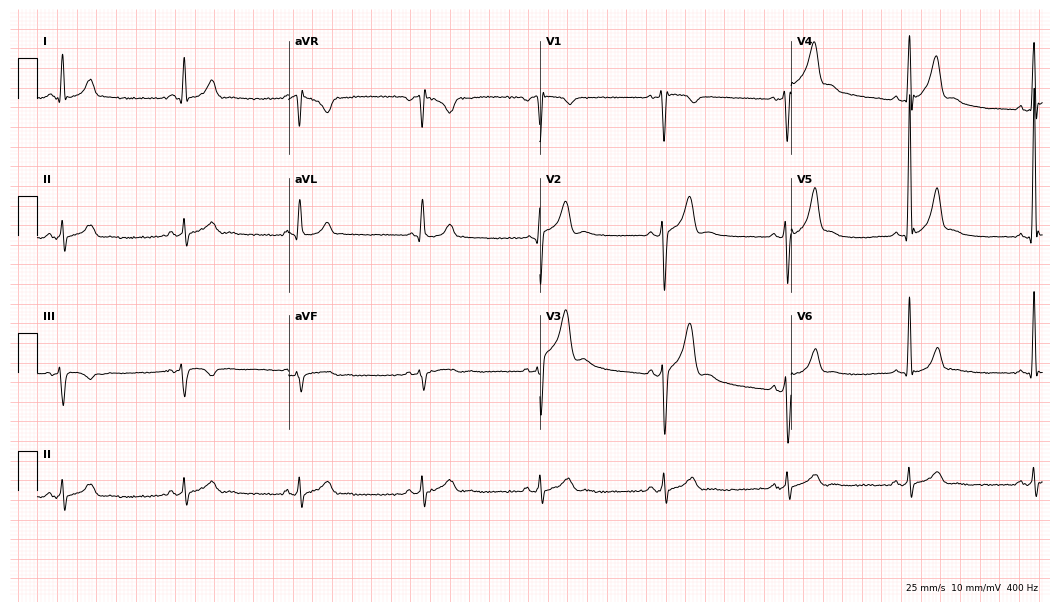
Standard 12-lead ECG recorded from a 30-year-old male (10.2-second recording at 400 Hz). The tracing shows sinus bradycardia (a sinus rate of 50 beats per minute or less).